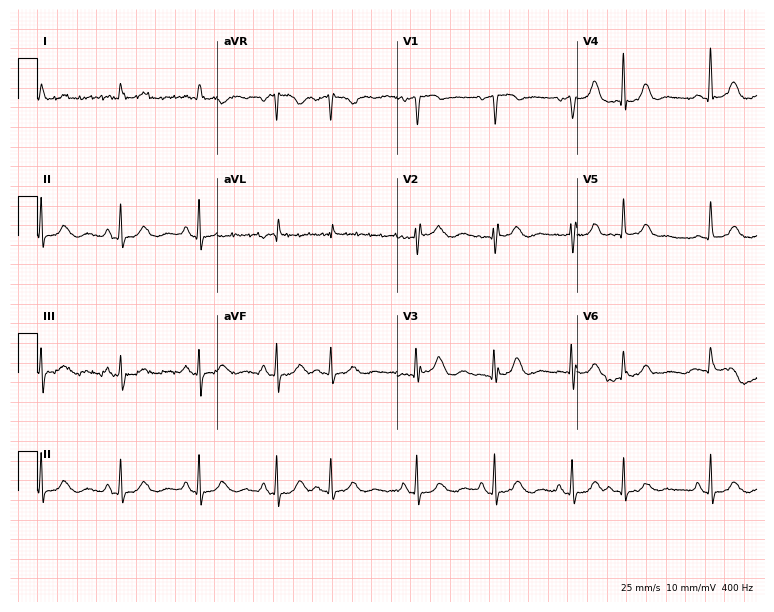
ECG — a 74-year-old woman. Screened for six findings — first-degree AV block, right bundle branch block, left bundle branch block, sinus bradycardia, atrial fibrillation, sinus tachycardia — none is recorded. Only these six findings were labelled.